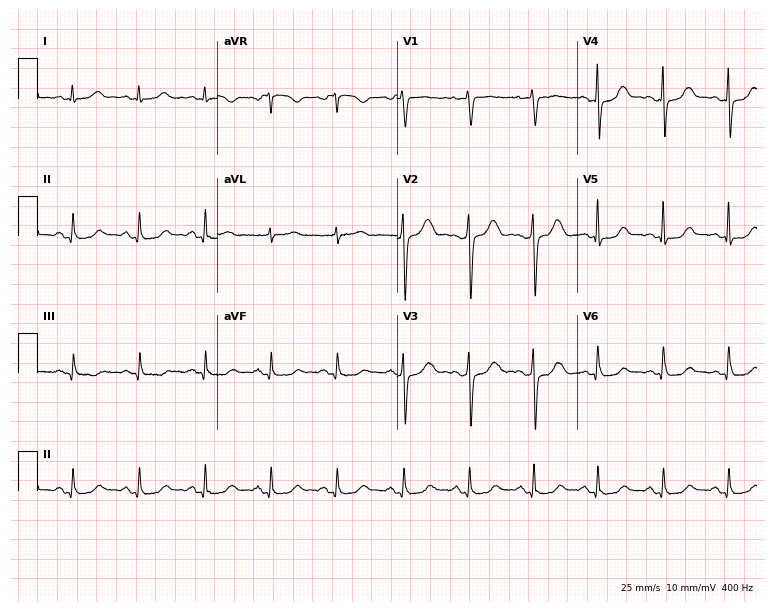
Resting 12-lead electrocardiogram (7.3-second recording at 400 Hz). Patient: a female, 51 years old. None of these six findings is recorded: first-degree AV block, right bundle branch block, left bundle branch block, sinus bradycardia, atrial fibrillation, sinus tachycardia. Findings outside these six are not listed.